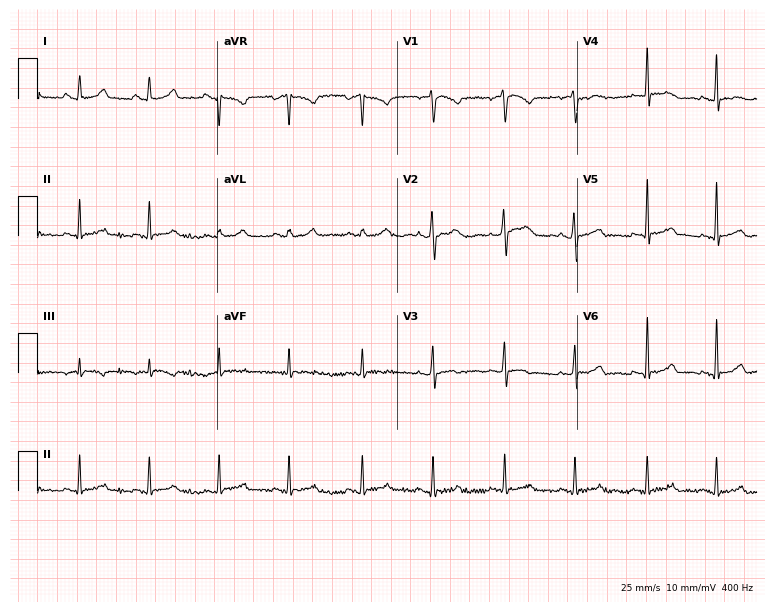
Standard 12-lead ECG recorded from a 21-year-old female patient. Read as a normal ECG.